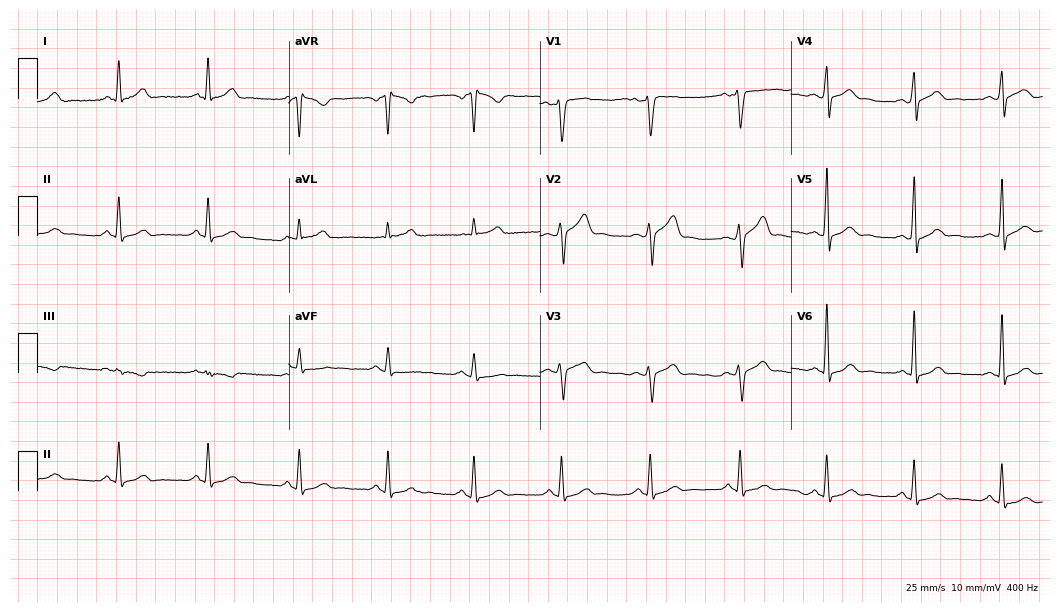
12-lead ECG from a 45-year-old male (10.2-second recording at 400 Hz). Recorded interpretation: within normal limits.